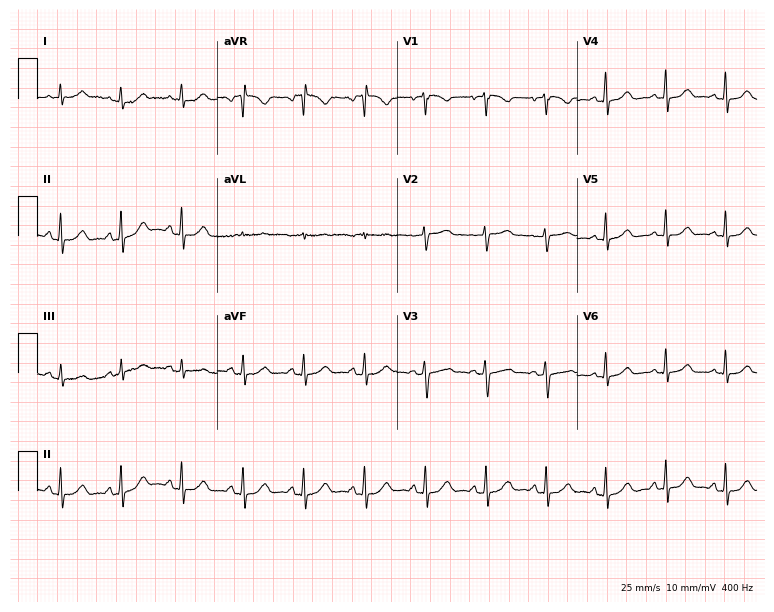
ECG (7.3-second recording at 400 Hz) — a 47-year-old woman. Screened for six findings — first-degree AV block, right bundle branch block, left bundle branch block, sinus bradycardia, atrial fibrillation, sinus tachycardia — none is recorded.